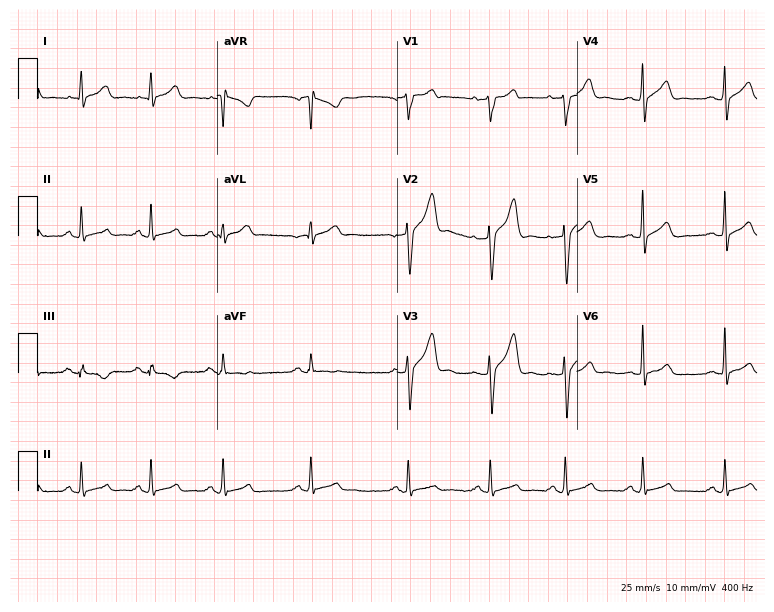
12-lead ECG from a male, 20 years old. Recorded interpretation: within normal limits.